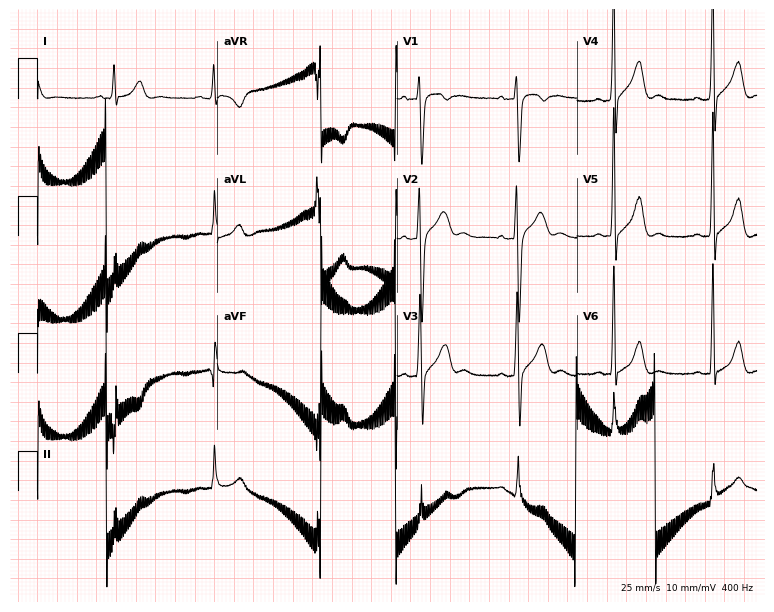
Resting 12-lead electrocardiogram (7.3-second recording at 400 Hz). Patient: a male, 29 years old. None of these six findings is recorded: first-degree AV block, right bundle branch block, left bundle branch block, sinus bradycardia, atrial fibrillation, sinus tachycardia.